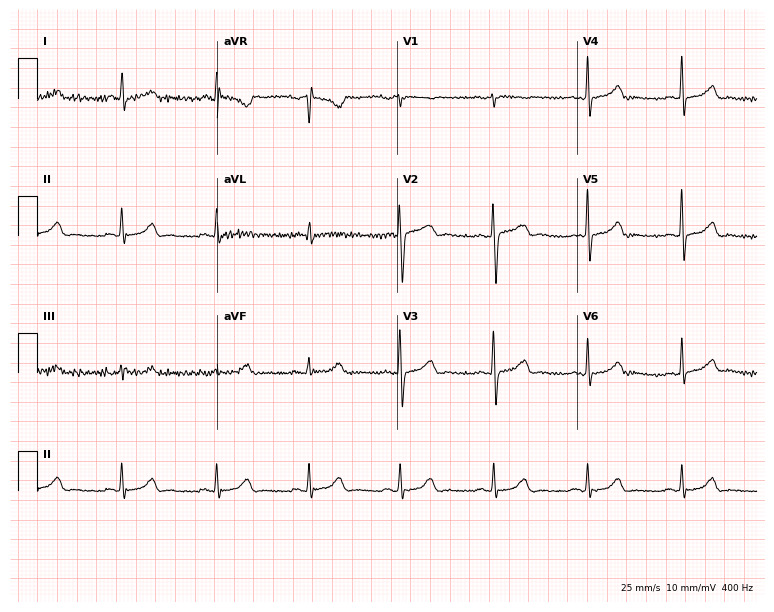
Standard 12-lead ECG recorded from a female, 44 years old. Read as a normal ECG.